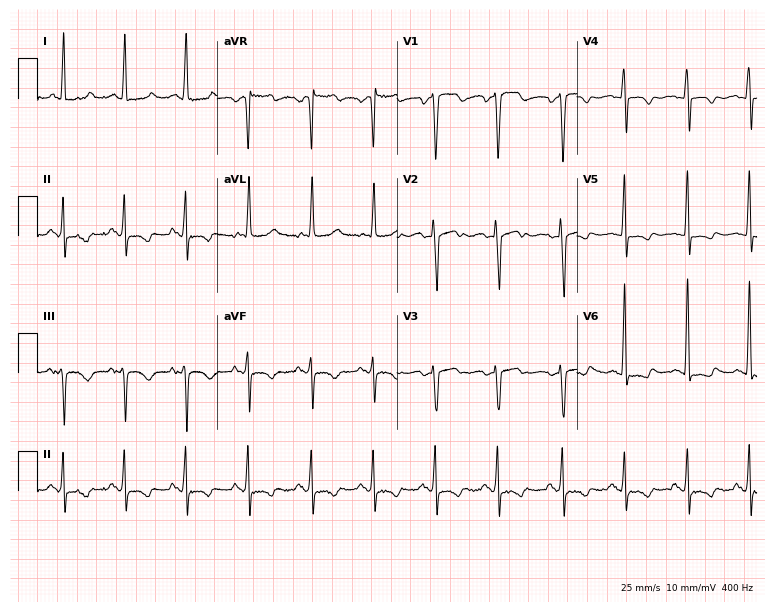
Resting 12-lead electrocardiogram. Patient: a female, 54 years old. None of these six findings is recorded: first-degree AV block, right bundle branch block, left bundle branch block, sinus bradycardia, atrial fibrillation, sinus tachycardia.